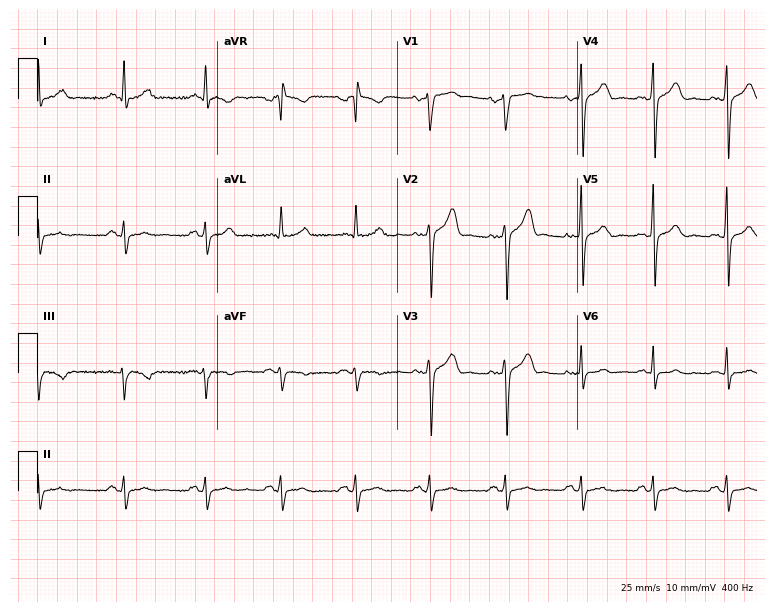
12-lead ECG (7.3-second recording at 400 Hz) from a 39-year-old man. Screened for six findings — first-degree AV block, right bundle branch block, left bundle branch block, sinus bradycardia, atrial fibrillation, sinus tachycardia — none is recorded. Findings outside these six are not listed.